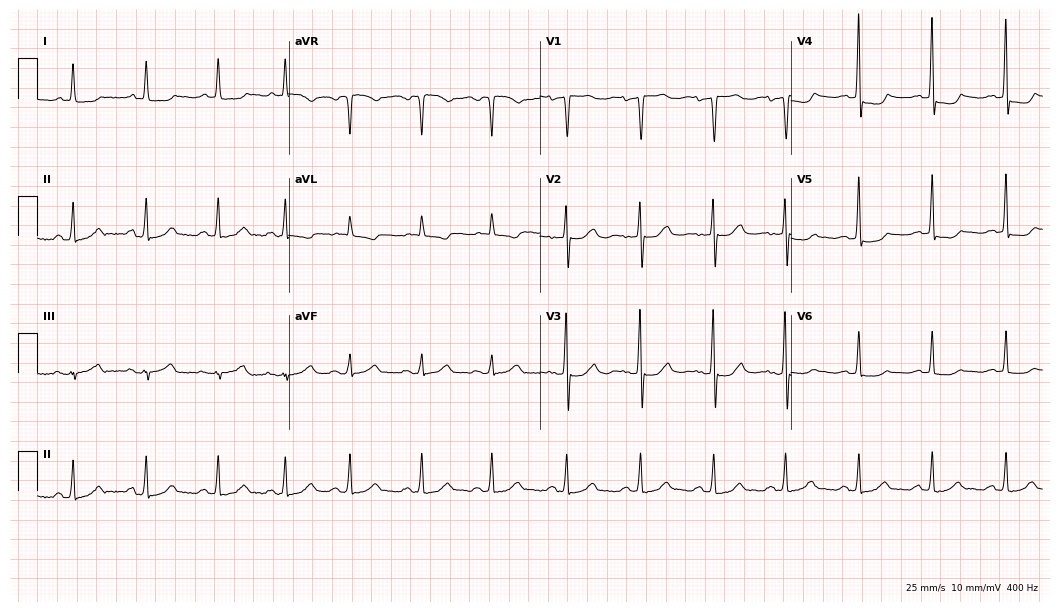
Electrocardiogram, a female, 83 years old. Of the six screened findings (first-degree AV block, right bundle branch block, left bundle branch block, sinus bradycardia, atrial fibrillation, sinus tachycardia), none is recorded. Findings outside these six are not listed.